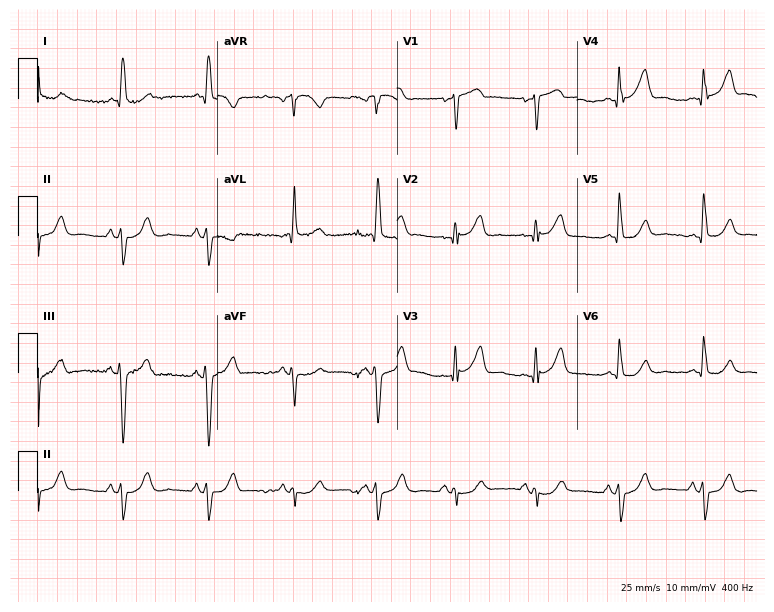
12-lead ECG (7.3-second recording at 400 Hz) from a 59-year-old female patient. Screened for six findings — first-degree AV block, right bundle branch block, left bundle branch block, sinus bradycardia, atrial fibrillation, sinus tachycardia — none is recorded.